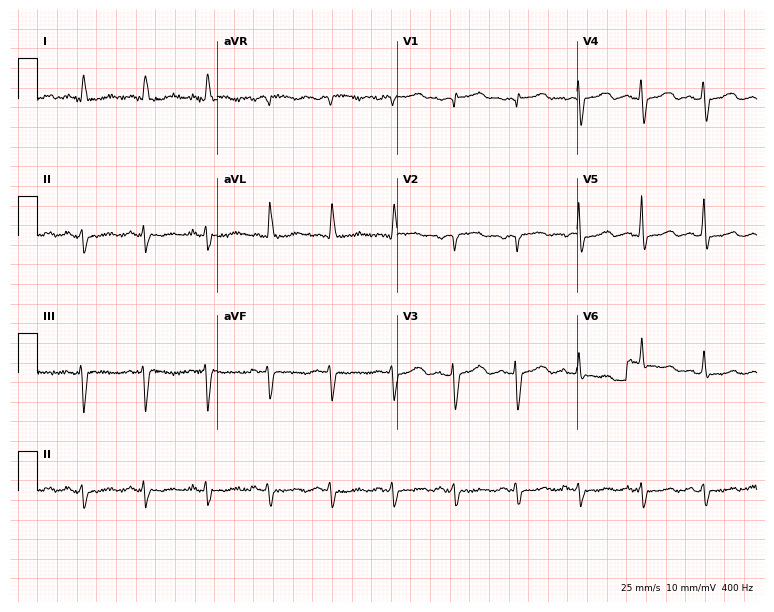
ECG (7.3-second recording at 400 Hz) — an 84-year-old woman. Screened for six findings — first-degree AV block, right bundle branch block (RBBB), left bundle branch block (LBBB), sinus bradycardia, atrial fibrillation (AF), sinus tachycardia — none is recorded. Findings outside these six are not listed.